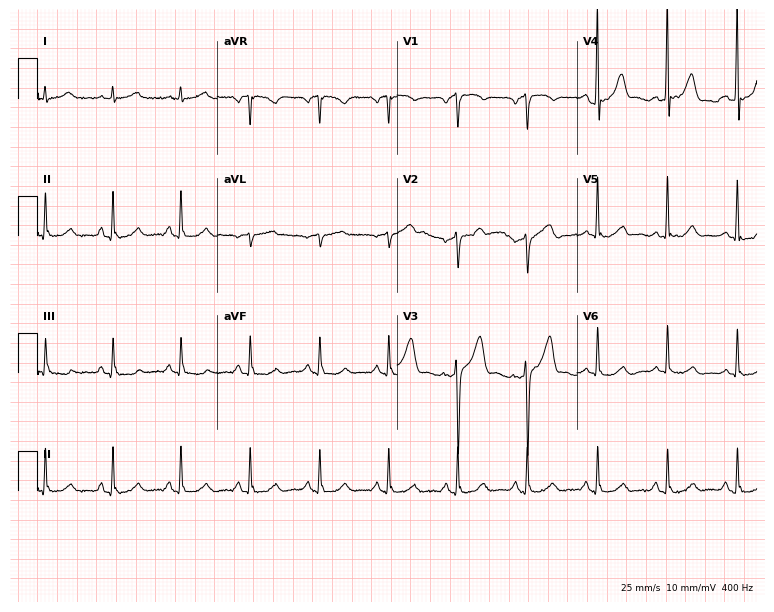
Electrocardiogram (7.3-second recording at 400 Hz), a 62-year-old male. Of the six screened findings (first-degree AV block, right bundle branch block (RBBB), left bundle branch block (LBBB), sinus bradycardia, atrial fibrillation (AF), sinus tachycardia), none is recorded.